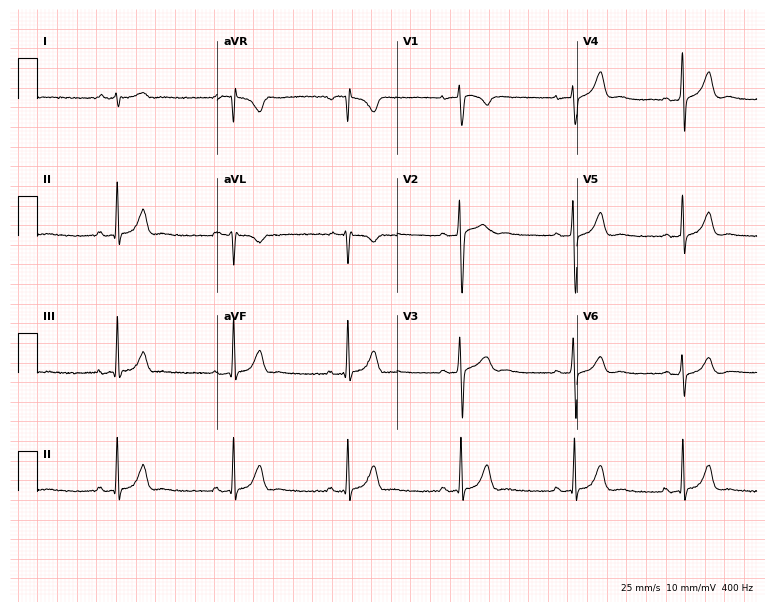
Electrocardiogram (7.3-second recording at 400 Hz), a man, 29 years old. Overall reading on record: normal ECG.